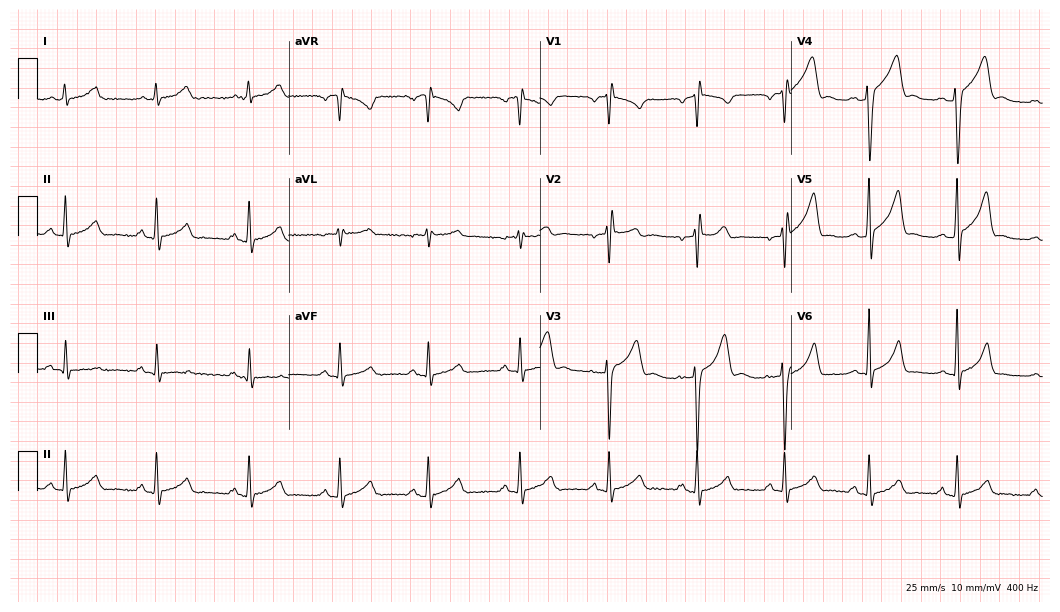
ECG — a 30-year-old male. Labelled as a normal ECG.